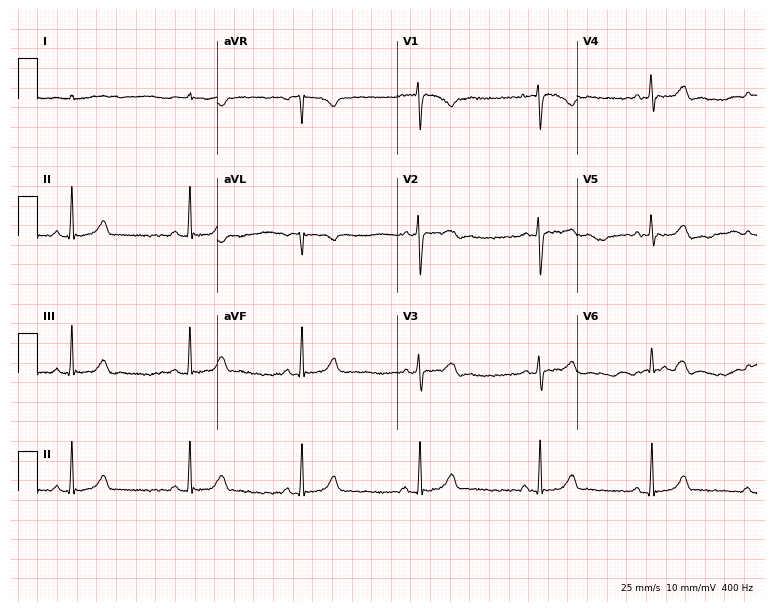
Resting 12-lead electrocardiogram. Patient: a woman, 18 years old. Read as a normal ECG.